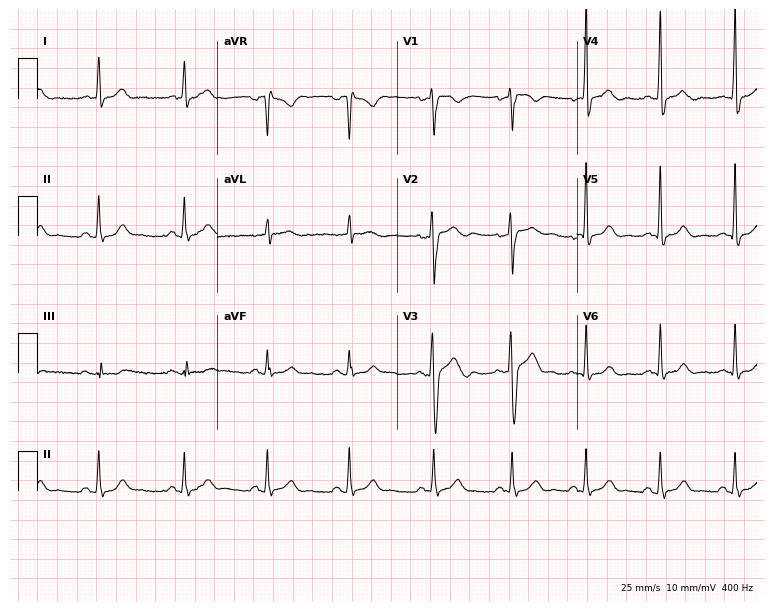
Standard 12-lead ECG recorded from a man, 39 years old (7.3-second recording at 400 Hz). Read as a normal ECG.